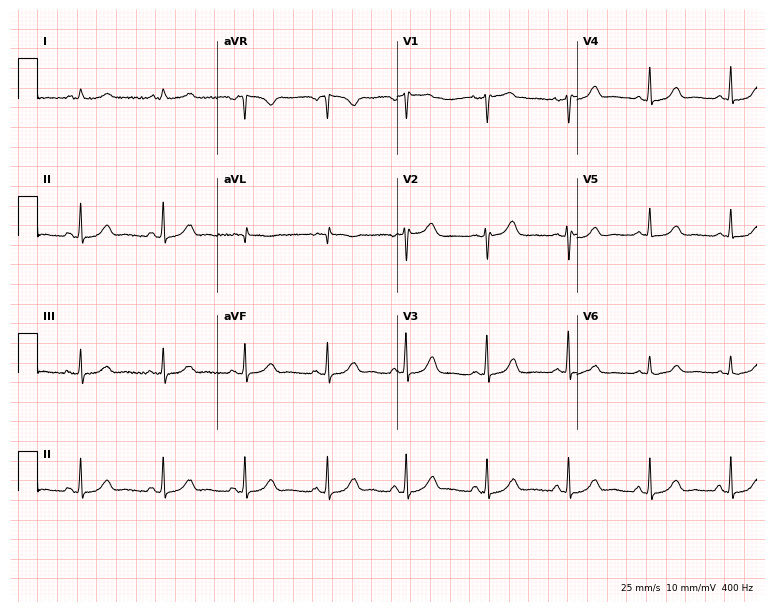
ECG — a 63-year-old female. Screened for six findings — first-degree AV block, right bundle branch block, left bundle branch block, sinus bradycardia, atrial fibrillation, sinus tachycardia — none is recorded. Findings outside these six are not listed.